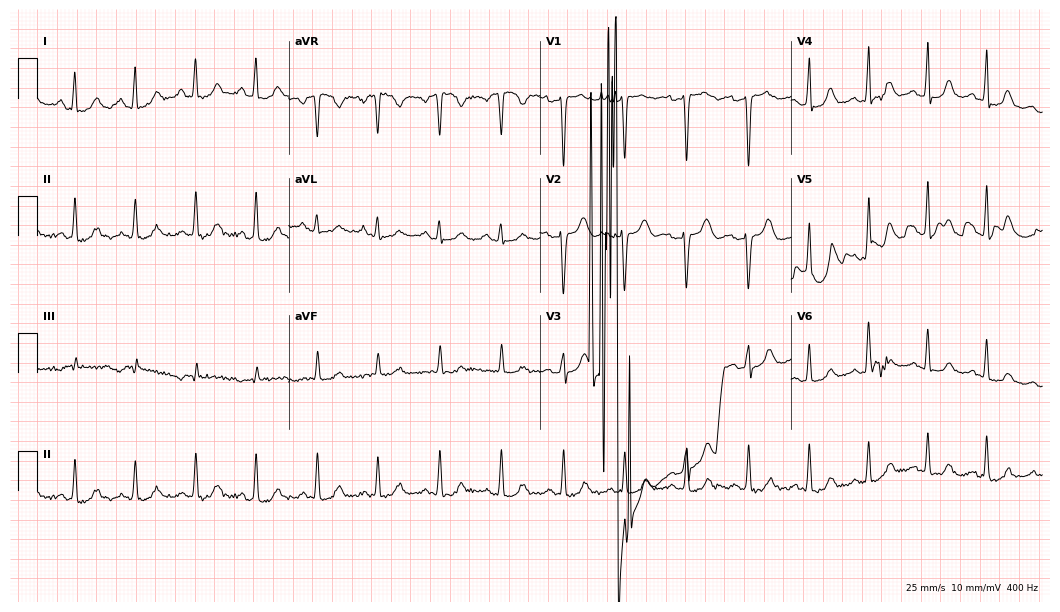
12-lead ECG from a 50-year-old female (10.2-second recording at 400 Hz). No first-degree AV block, right bundle branch block, left bundle branch block, sinus bradycardia, atrial fibrillation or sinus tachycardia recorded for this tracing. Only these six findings were labelled.